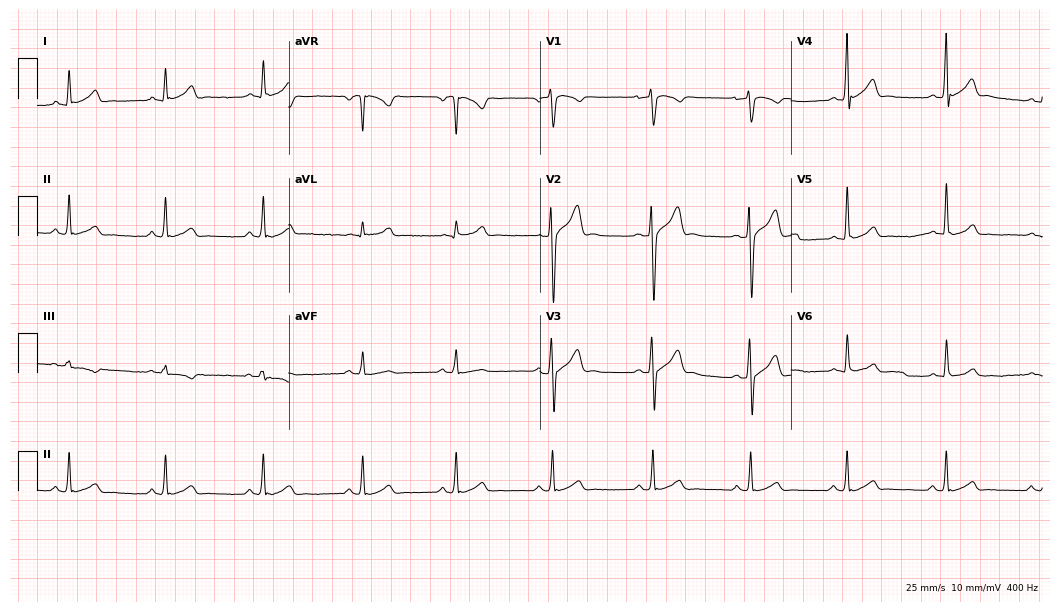
Standard 12-lead ECG recorded from a 24-year-old man (10.2-second recording at 400 Hz). Read as a normal ECG.